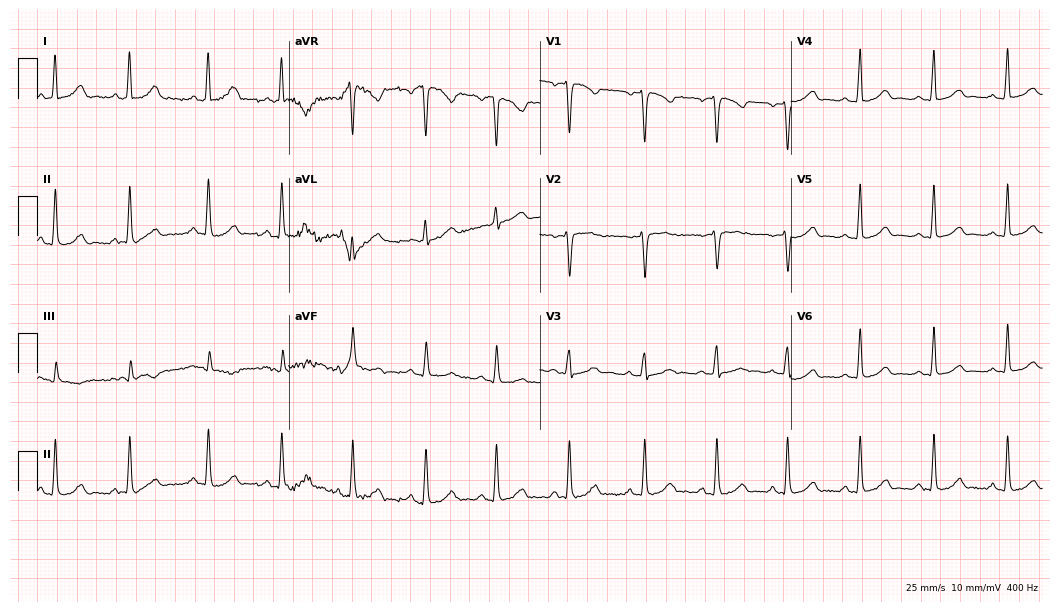
12-lead ECG from a female patient, 26 years old (10.2-second recording at 400 Hz). No first-degree AV block, right bundle branch block, left bundle branch block, sinus bradycardia, atrial fibrillation or sinus tachycardia recorded for this tracing. Findings outside these six are not listed.